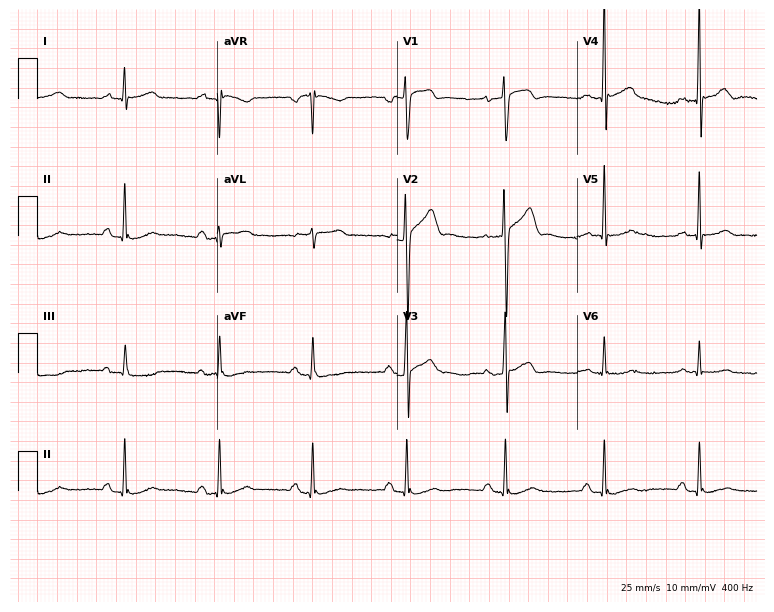
Standard 12-lead ECG recorded from a male, 22 years old (7.3-second recording at 400 Hz). Read as a normal ECG.